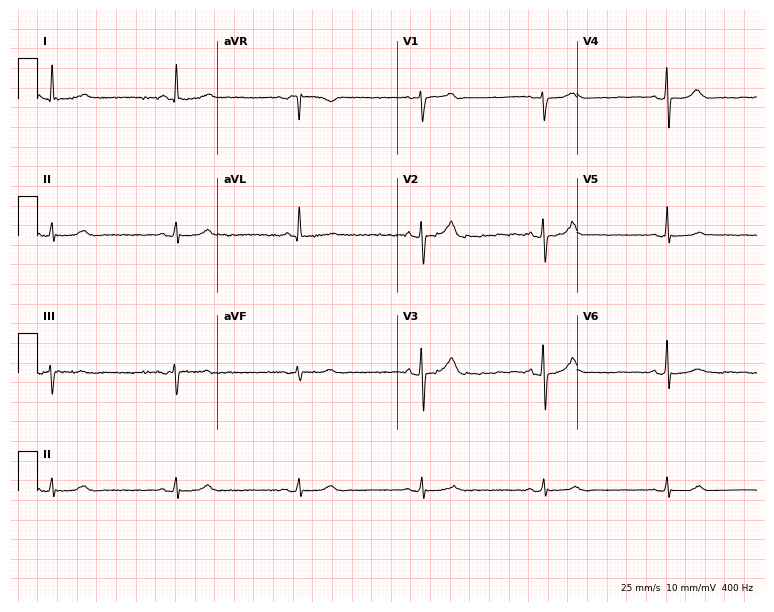
ECG (7.3-second recording at 400 Hz) — a male patient, 47 years old. Findings include sinus bradycardia (a sinus rate of 50 beats per minute or less).